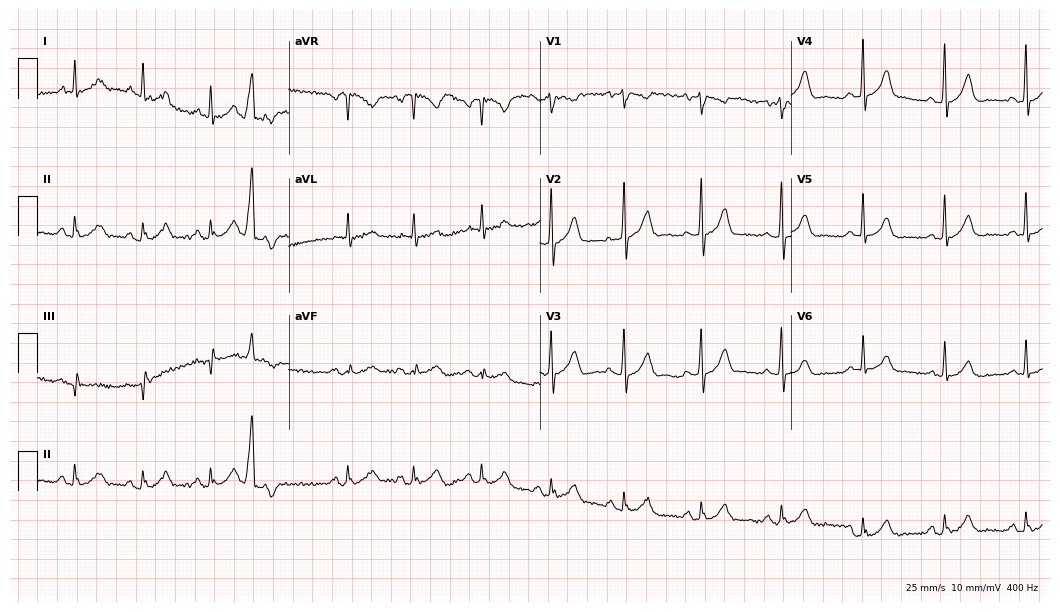
Electrocardiogram (10.2-second recording at 400 Hz), a 63-year-old male patient. Of the six screened findings (first-degree AV block, right bundle branch block (RBBB), left bundle branch block (LBBB), sinus bradycardia, atrial fibrillation (AF), sinus tachycardia), none is recorded. Only these six findings were labelled.